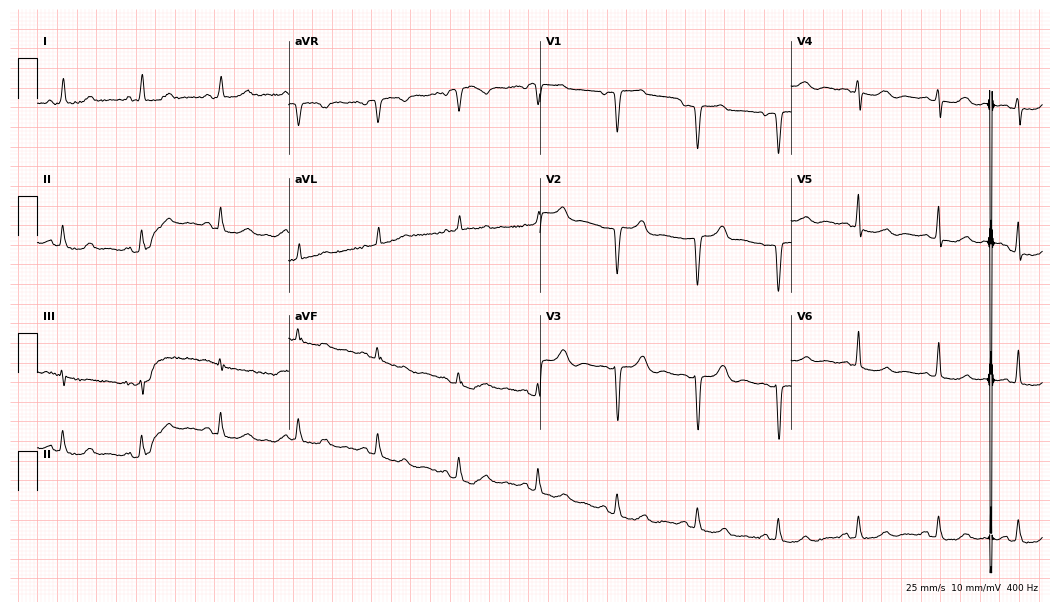
12-lead ECG from a female, 59 years old (10.2-second recording at 400 Hz). No first-degree AV block, right bundle branch block, left bundle branch block, sinus bradycardia, atrial fibrillation or sinus tachycardia recorded for this tracing.